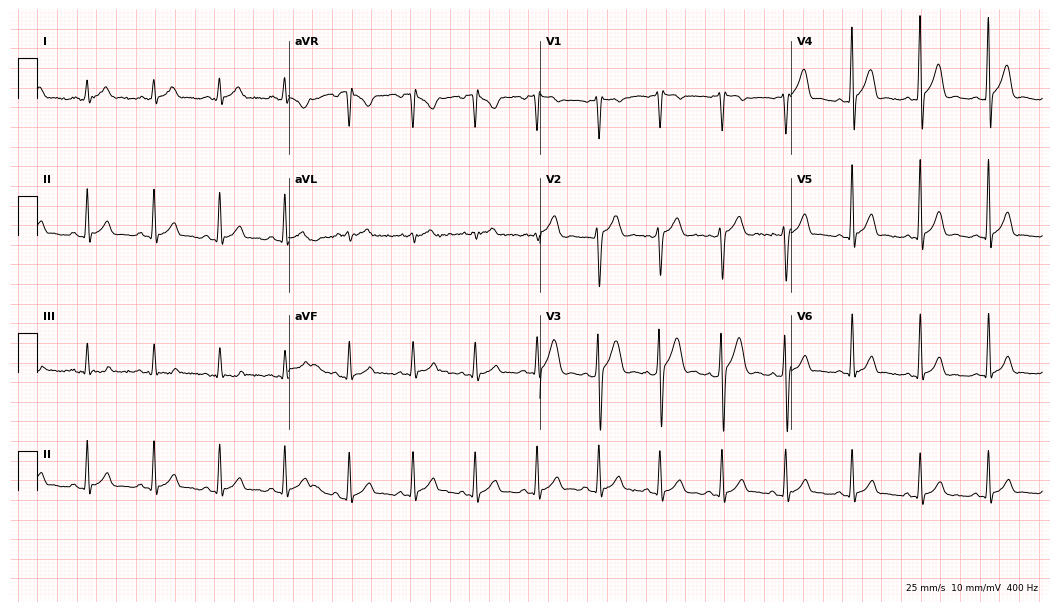
Electrocardiogram (10.2-second recording at 400 Hz), a 22-year-old male. Overall reading on record: normal ECG.